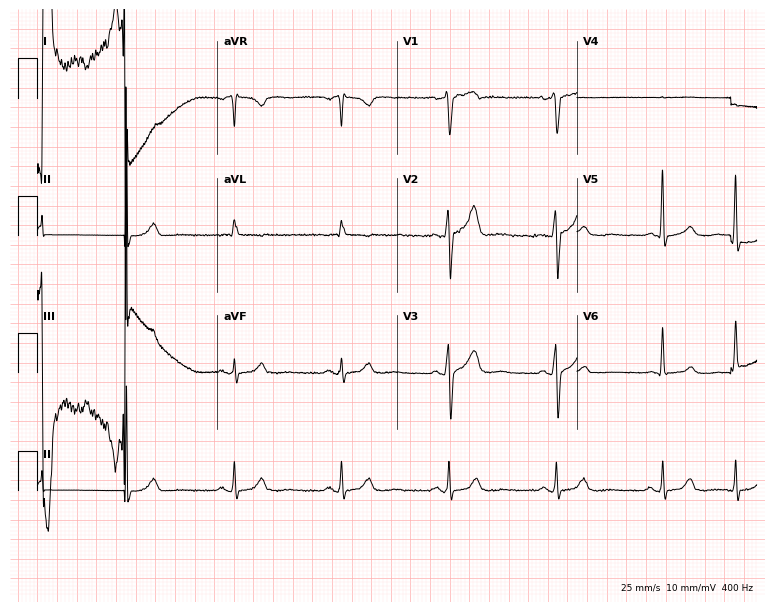
Resting 12-lead electrocardiogram (7.3-second recording at 400 Hz). Patient: a man, 65 years old. None of these six findings is recorded: first-degree AV block, right bundle branch block, left bundle branch block, sinus bradycardia, atrial fibrillation, sinus tachycardia. Only these six findings were labelled.